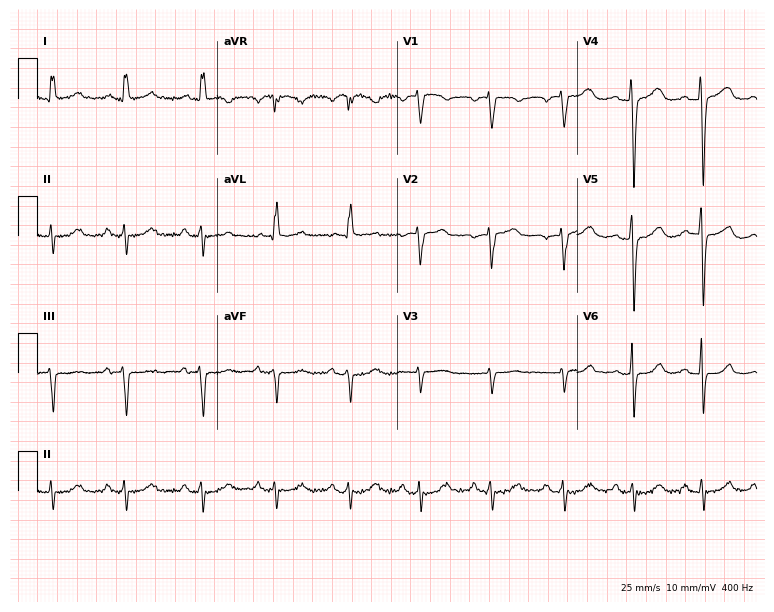
ECG (7.3-second recording at 400 Hz) — a 64-year-old woman. Screened for six findings — first-degree AV block, right bundle branch block, left bundle branch block, sinus bradycardia, atrial fibrillation, sinus tachycardia — none is recorded. Only these six findings were labelled.